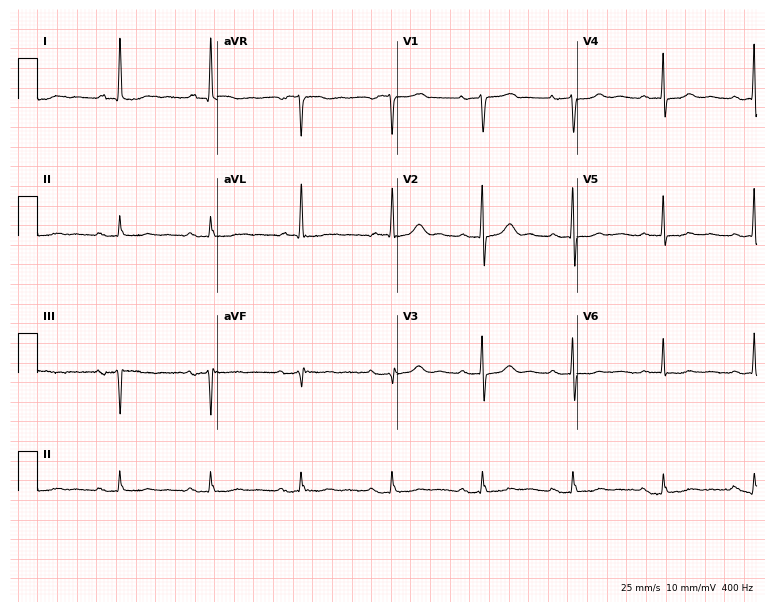
Standard 12-lead ECG recorded from a female patient, 80 years old (7.3-second recording at 400 Hz). None of these six findings is recorded: first-degree AV block, right bundle branch block, left bundle branch block, sinus bradycardia, atrial fibrillation, sinus tachycardia. Findings outside these six are not listed.